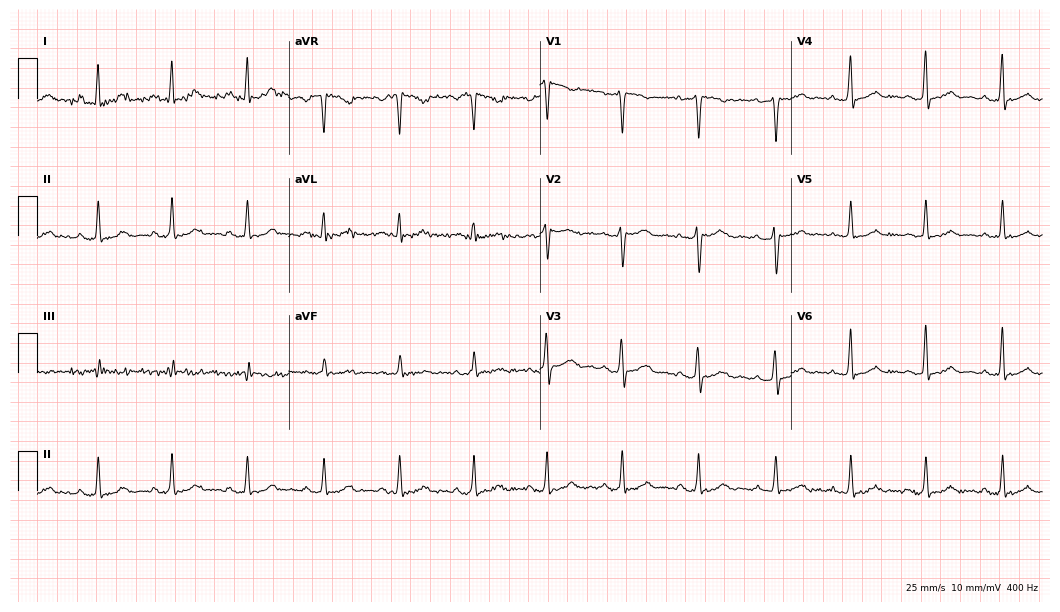
ECG — a woman, 33 years old. Labelled as a normal ECG.